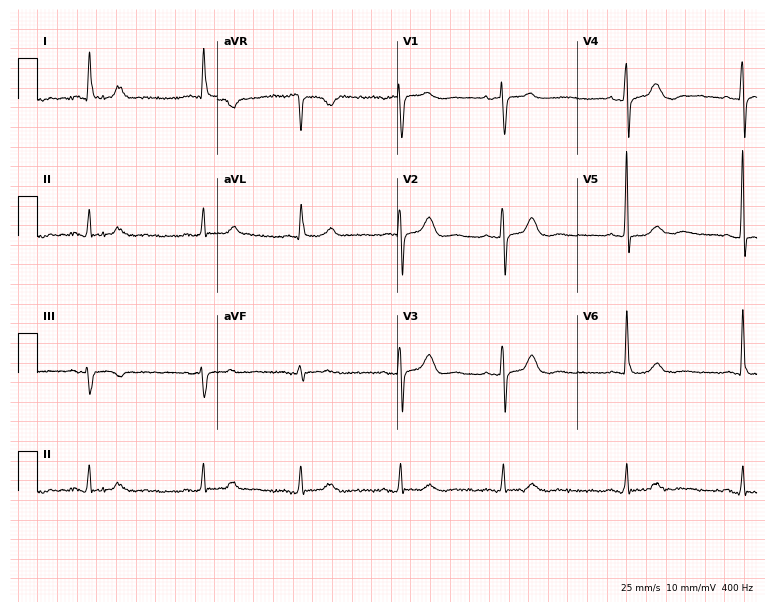
Electrocardiogram (7.3-second recording at 400 Hz), a female patient, 68 years old. Of the six screened findings (first-degree AV block, right bundle branch block, left bundle branch block, sinus bradycardia, atrial fibrillation, sinus tachycardia), none is recorded.